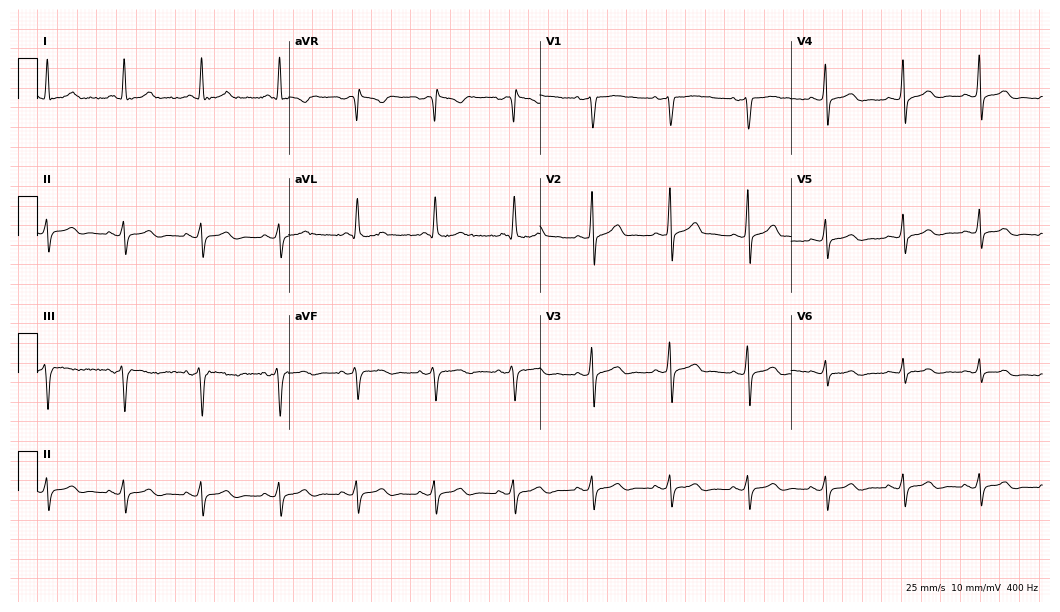
12-lead ECG from a 57-year-old male patient (10.2-second recording at 400 Hz). No first-degree AV block, right bundle branch block, left bundle branch block, sinus bradycardia, atrial fibrillation or sinus tachycardia recorded for this tracing. Other findings, if any, are not listed.